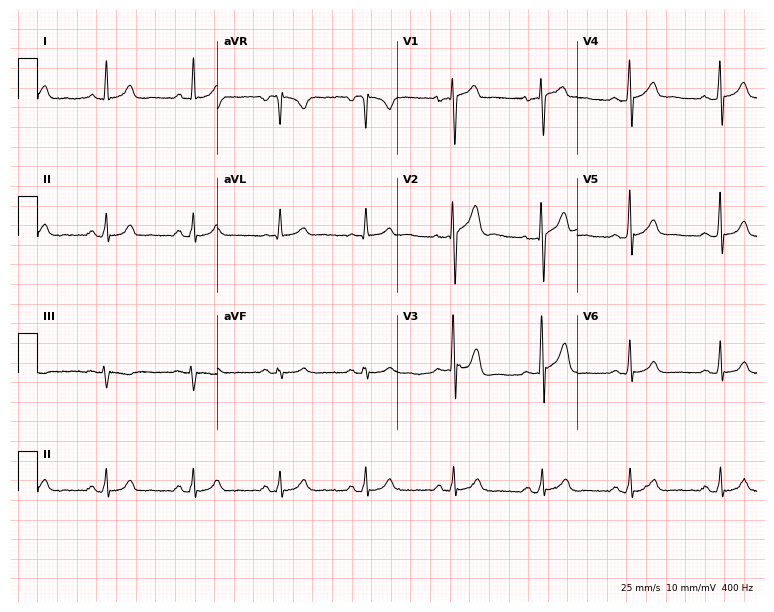
ECG — a man, 46 years old. Labelled as a normal ECG.